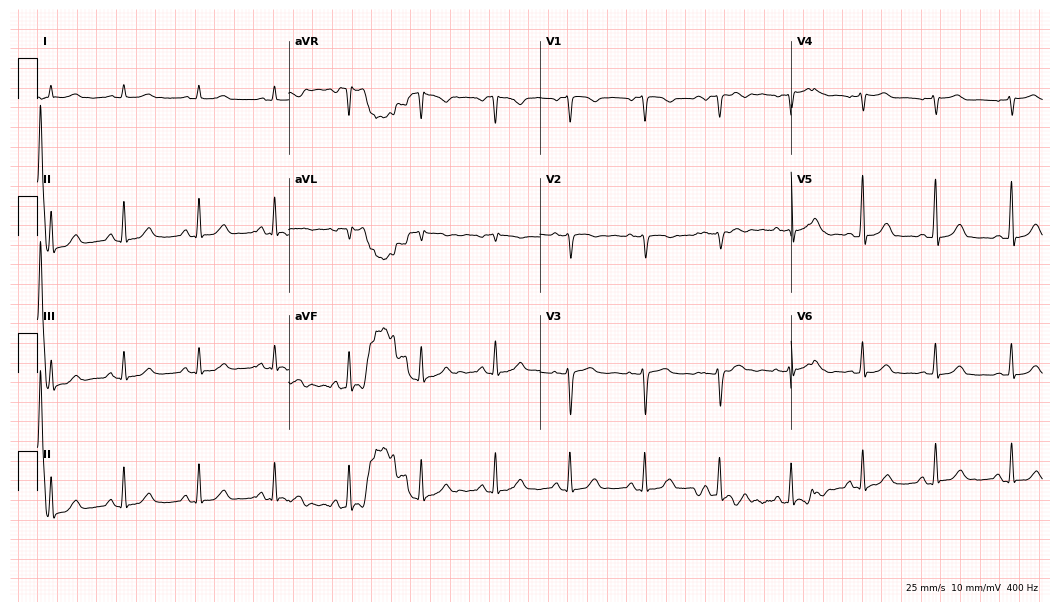
Standard 12-lead ECG recorded from a 68-year-old female patient. None of these six findings is recorded: first-degree AV block, right bundle branch block (RBBB), left bundle branch block (LBBB), sinus bradycardia, atrial fibrillation (AF), sinus tachycardia.